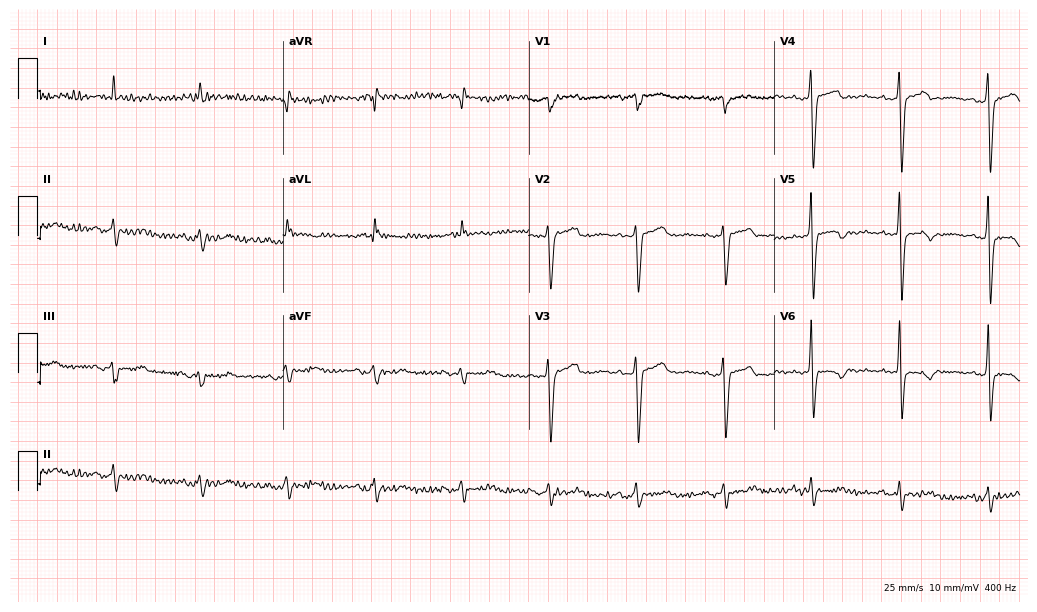
ECG — a female patient, 67 years old. Screened for six findings — first-degree AV block, right bundle branch block, left bundle branch block, sinus bradycardia, atrial fibrillation, sinus tachycardia — none is recorded.